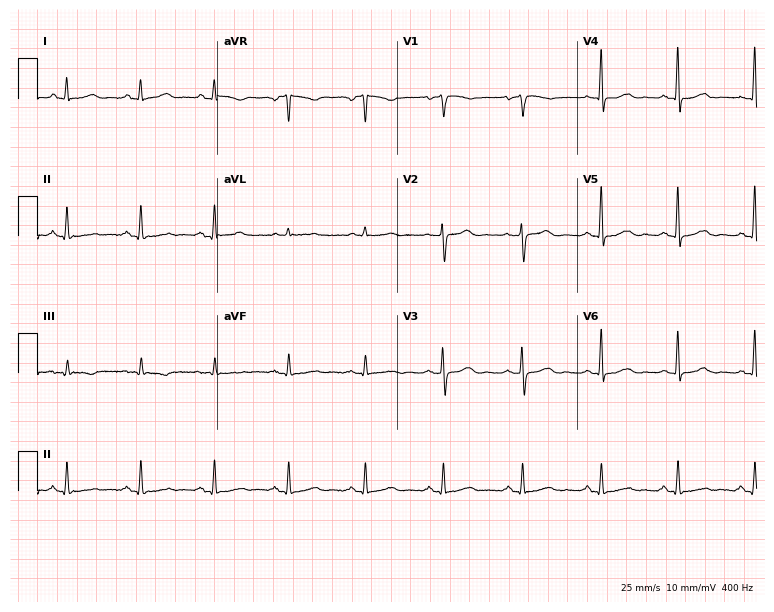
12-lead ECG from a female patient, 54 years old. No first-degree AV block, right bundle branch block, left bundle branch block, sinus bradycardia, atrial fibrillation or sinus tachycardia recorded for this tracing.